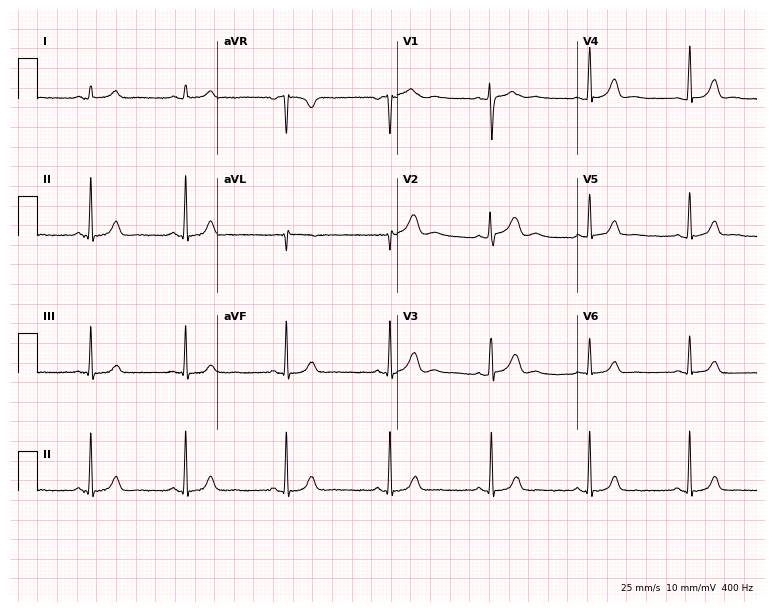
12-lead ECG from a female, 19 years old. No first-degree AV block, right bundle branch block (RBBB), left bundle branch block (LBBB), sinus bradycardia, atrial fibrillation (AF) or sinus tachycardia recorded for this tracing. Findings outside these six are not listed.